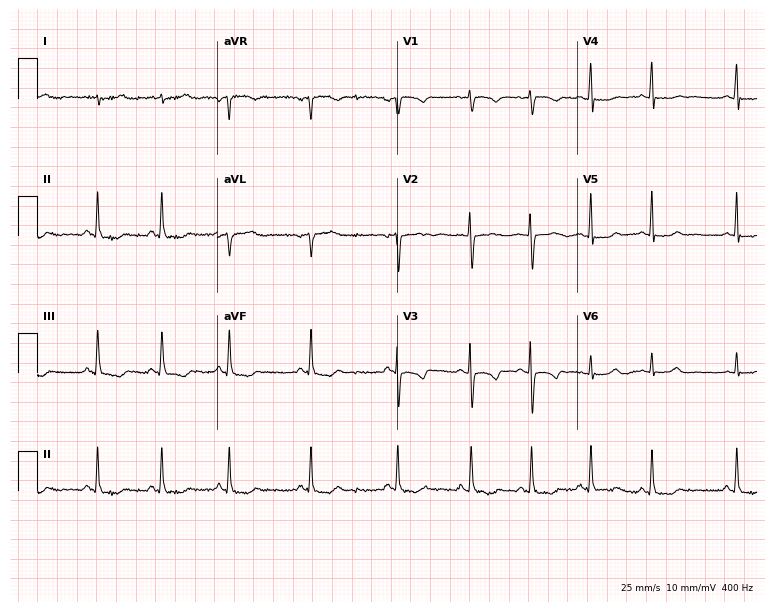
Resting 12-lead electrocardiogram. Patient: an 18-year-old female. Read as a normal ECG.